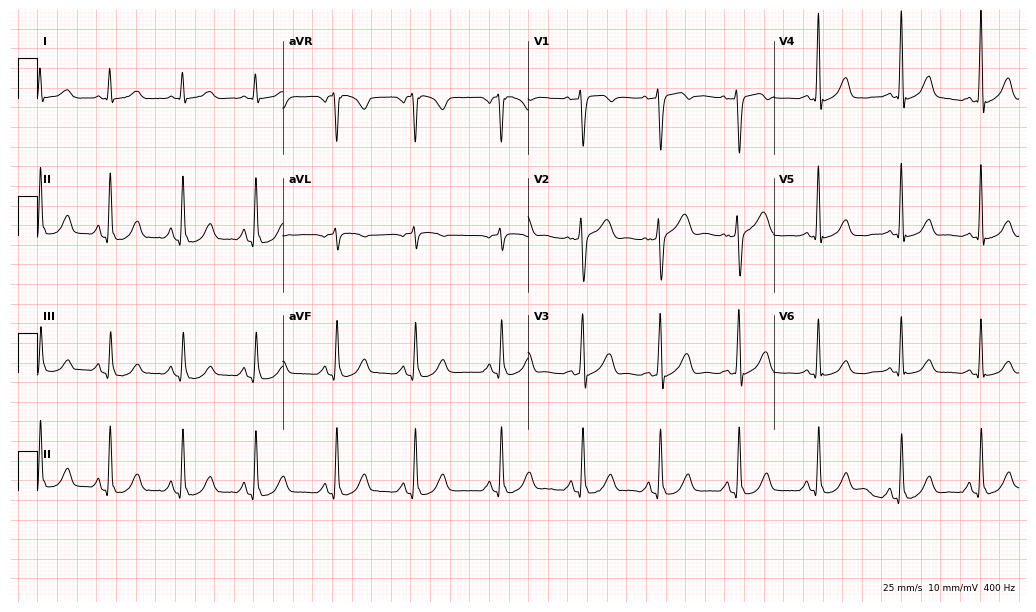
Resting 12-lead electrocardiogram (10-second recording at 400 Hz). Patient: a 56-year-old female. None of these six findings is recorded: first-degree AV block, right bundle branch block, left bundle branch block, sinus bradycardia, atrial fibrillation, sinus tachycardia. Only these six findings were labelled.